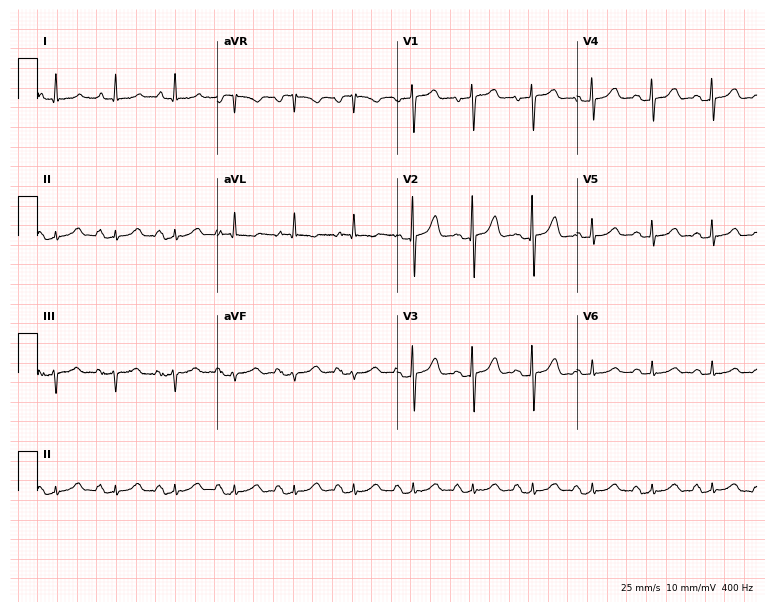
ECG (7.3-second recording at 400 Hz) — an 84-year-old woman. Labelled as a normal ECG.